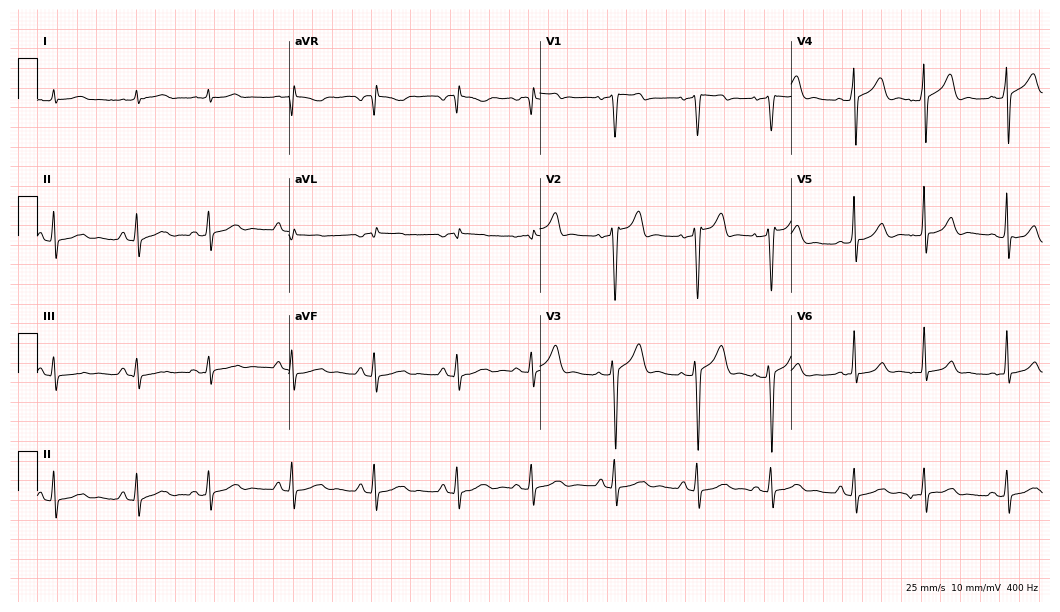
Electrocardiogram (10.2-second recording at 400 Hz), a male, 65 years old. Overall reading on record: normal ECG.